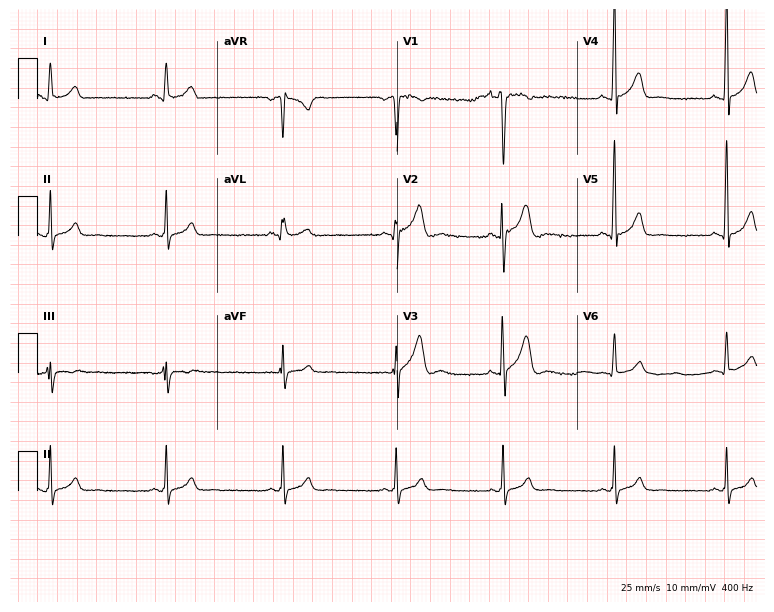
12-lead ECG from a female patient, 33 years old. Recorded interpretation: within normal limits.